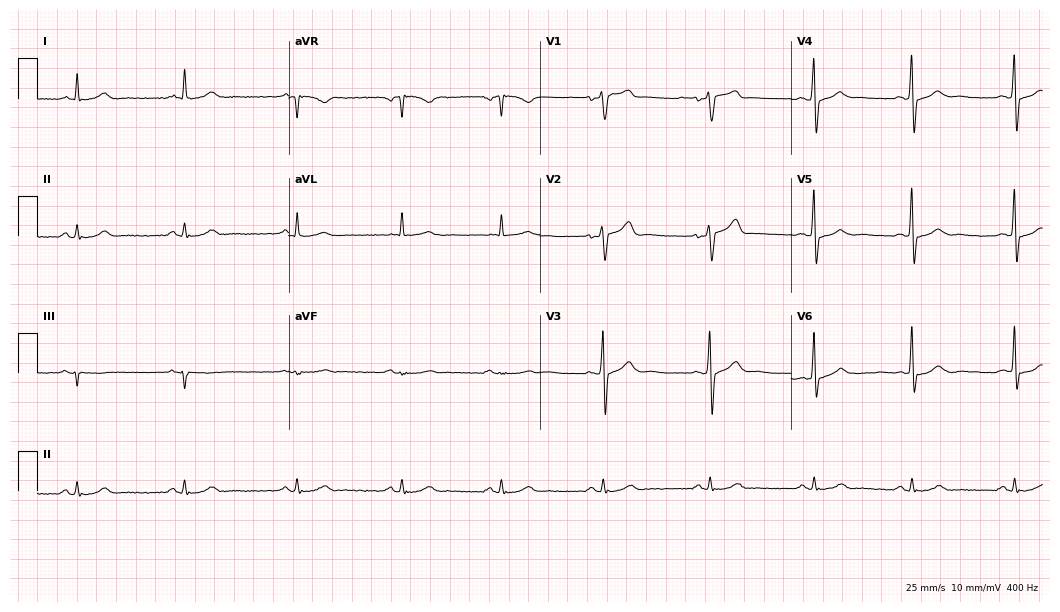
12-lead ECG from a 51-year-old man (10.2-second recording at 400 Hz). Recorded interpretation: within normal limits.